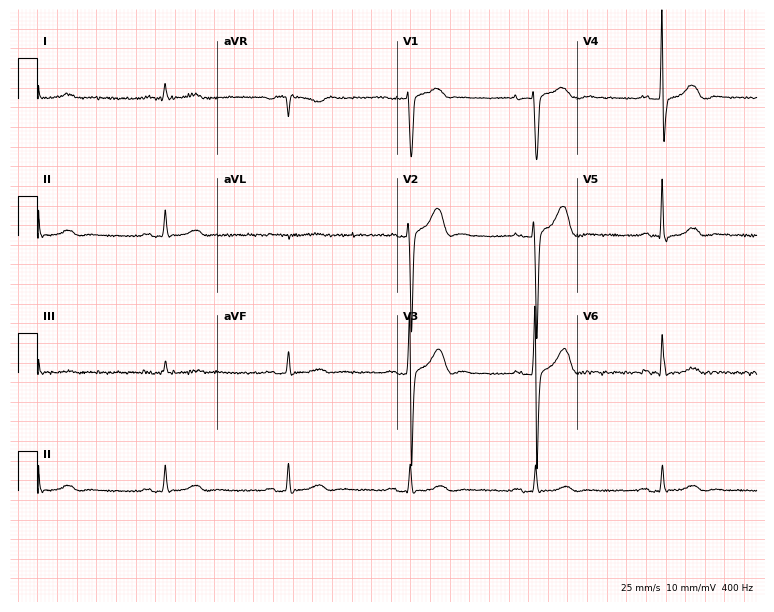
Electrocardiogram (7.3-second recording at 400 Hz), a 66-year-old male. Interpretation includes sinus bradycardia (a sinus rate of 50 beats per minute or less).